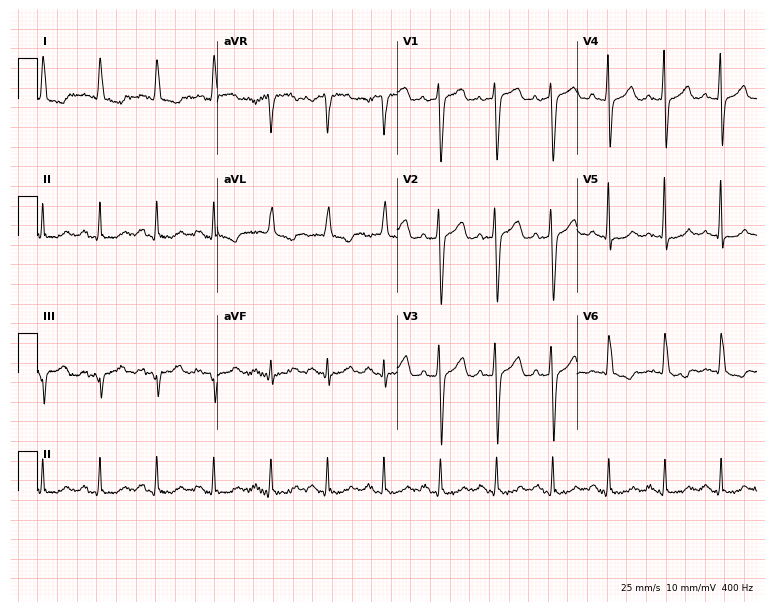
12-lead ECG from a female, 76 years old. Shows sinus tachycardia (a sinus rate of 100 beats per minute or more).